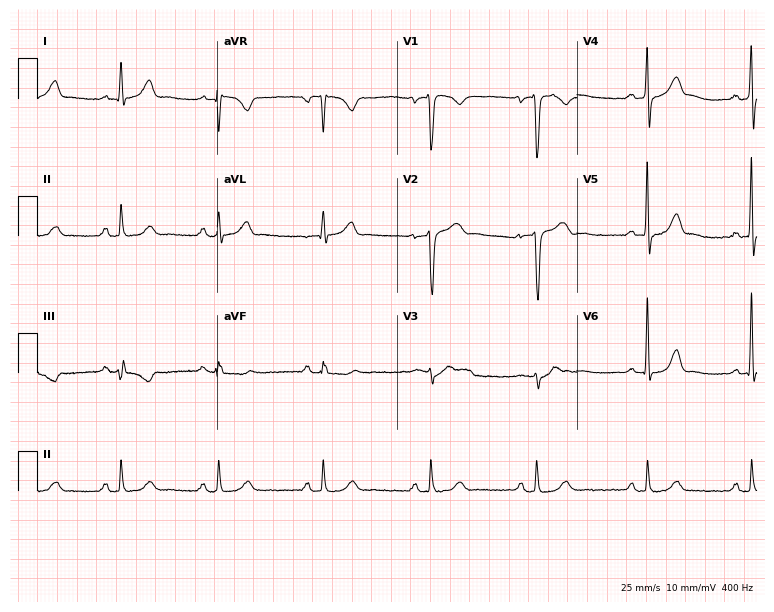
Electrocardiogram (7.3-second recording at 400 Hz), a 45-year-old male patient. Overall reading on record: normal ECG.